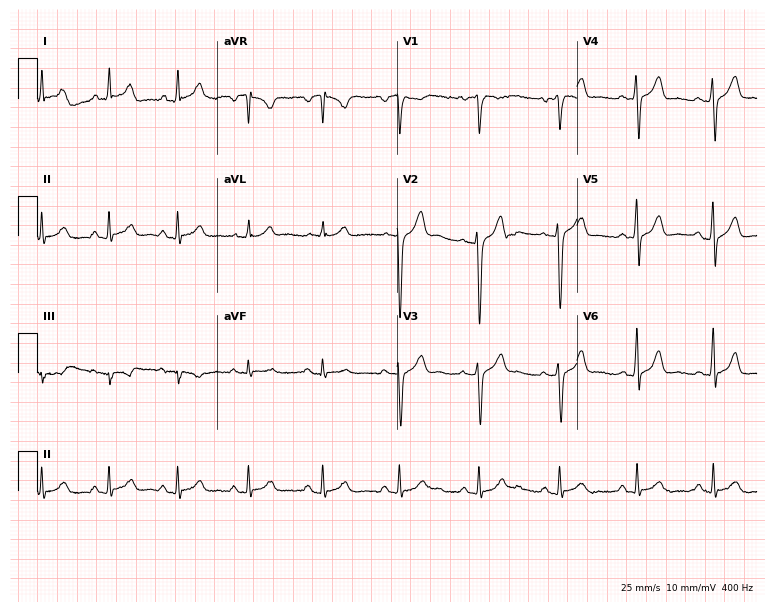
Resting 12-lead electrocardiogram (7.3-second recording at 400 Hz). Patient: a male, 51 years old. Read as a normal ECG.